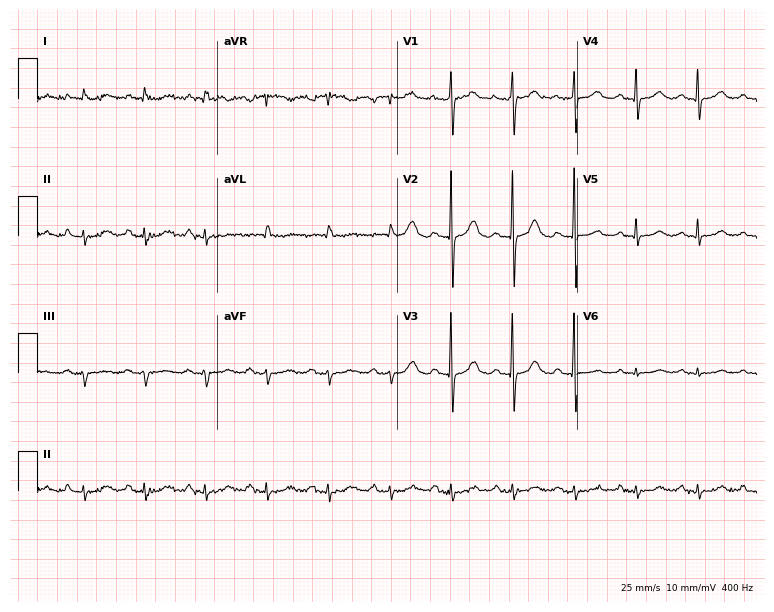
12-lead ECG from a female, 81 years old. Screened for six findings — first-degree AV block, right bundle branch block, left bundle branch block, sinus bradycardia, atrial fibrillation, sinus tachycardia — none is recorded.